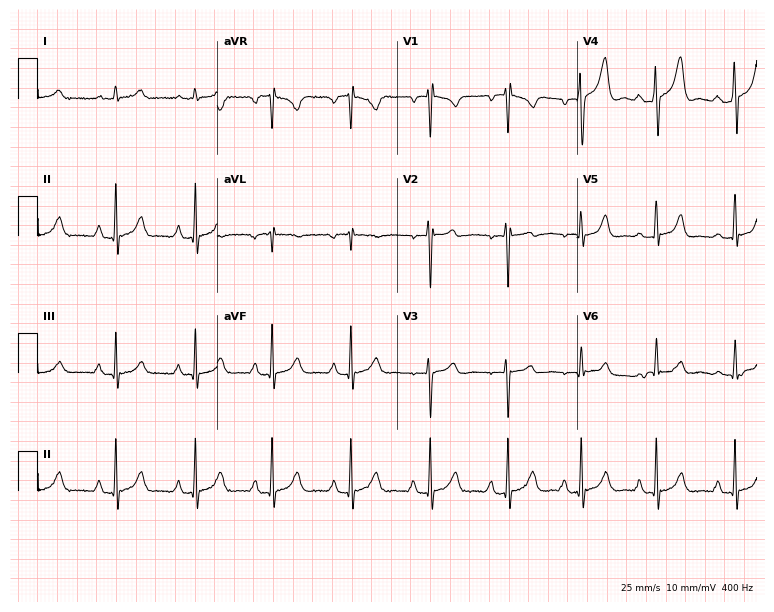
12-lead ECG from a man, 30 years old. No first-degree AV block, right bundle branch block (RBBB), left bundle branch block (LBBB), sinus bradycardia, atrial fibrillation (AF) or sinus tachycardia recorded for this tracing. Findings outside these six are not listed.